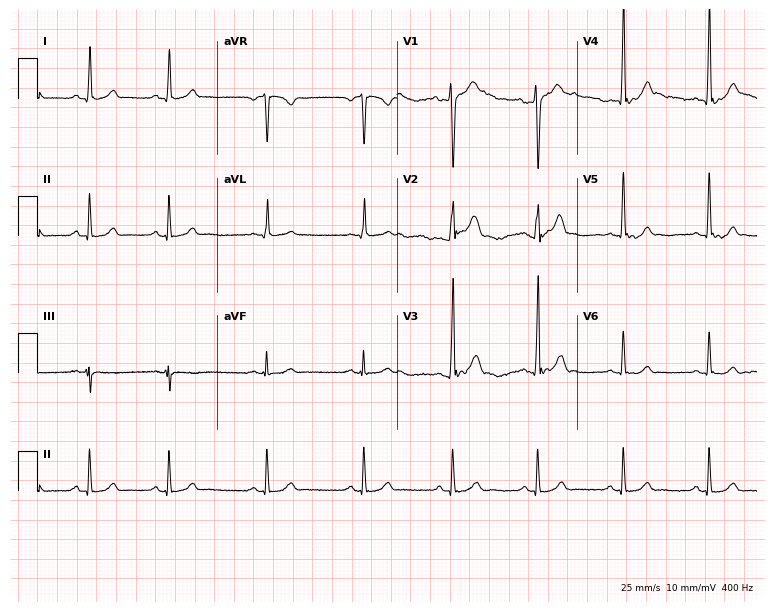
12-lead ECG (7.3-second recording at 400 Hz) from a male patient, 19 years old. Labelled as a normal ECG.